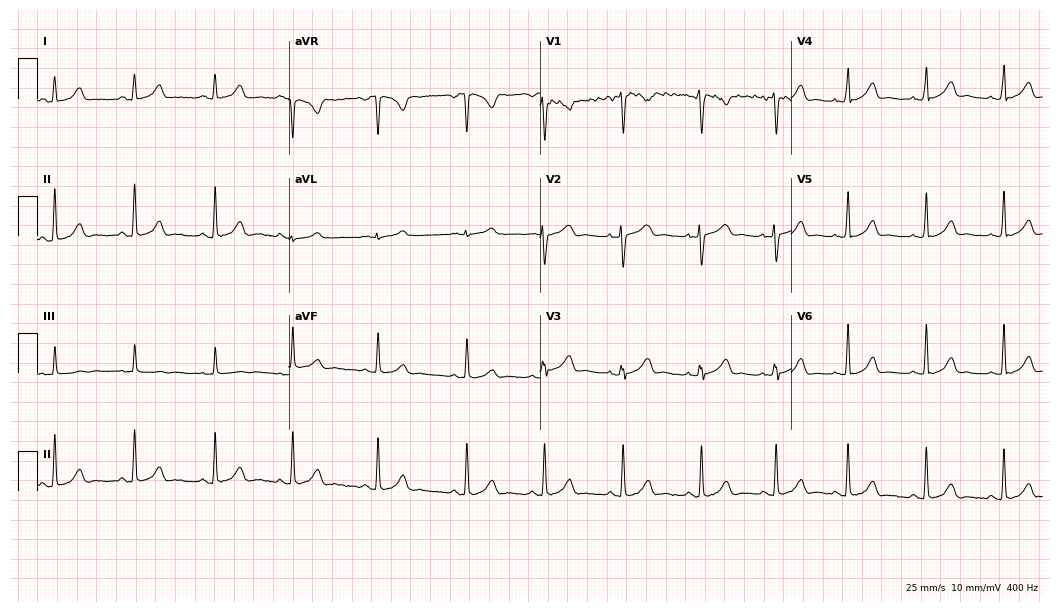
12-lead ECG from a 19-year-old female. Labelled as a normal ECG.